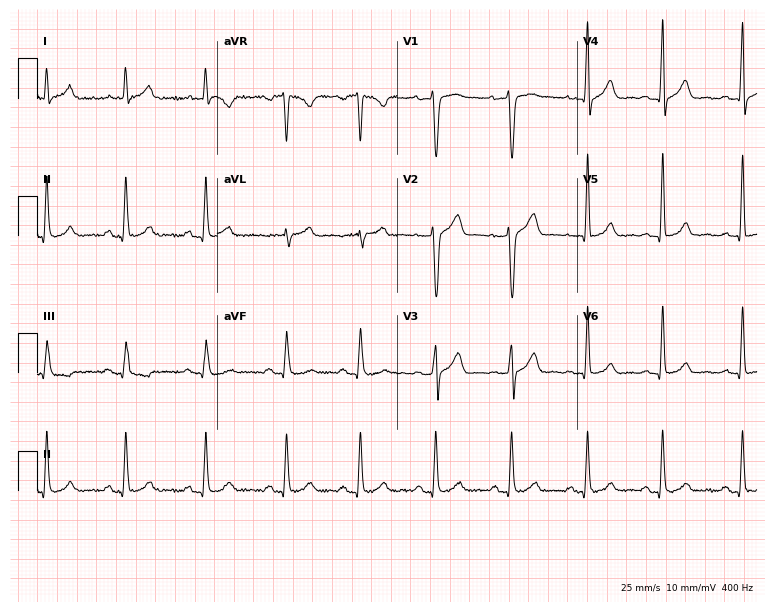
12-lead ECG from a 40-year-old man (7.3-second recording at 400 Hz). No first-degree AV block, right bundle branch block (RBBB), left bundle branch block (LBBB), sinus bradycardia, atrial fibrillation (AF) or sinus tachycardia recorded for this tracing. Findings outside these six are not listed.